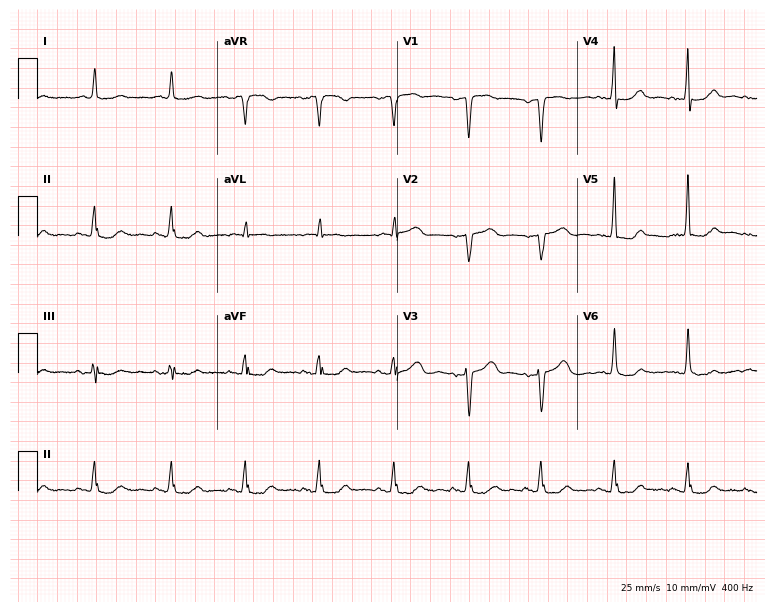
12-lead ECG (7.3-second recording at 400 Hz) from a male patient, 82 years old. Screened for six findings — first-degree AV block, right bundle branch block, left bundle branch block, sinus bradycardia, atrial fibrillation, sinus tachycardia — none is recorded.